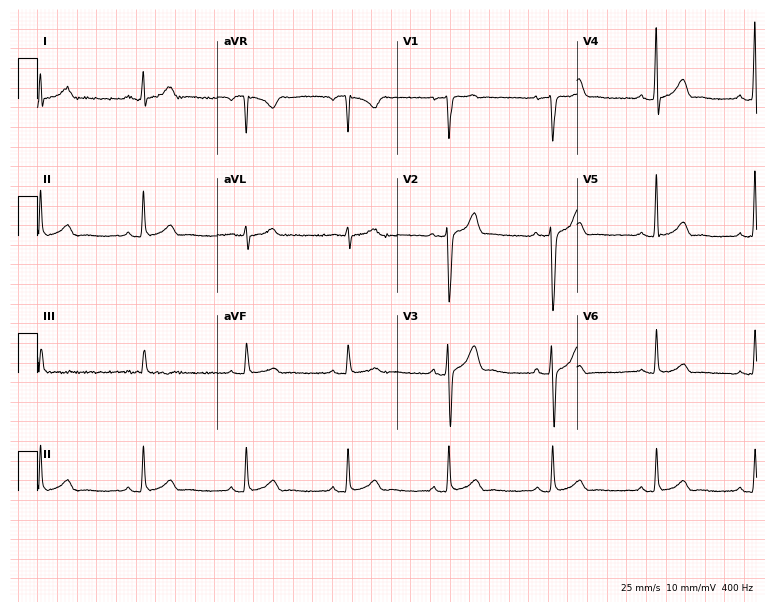
ECG (7.3-second recording at 400 Hz) — a male patient, 39 years old. Labelled as a normal ECG.